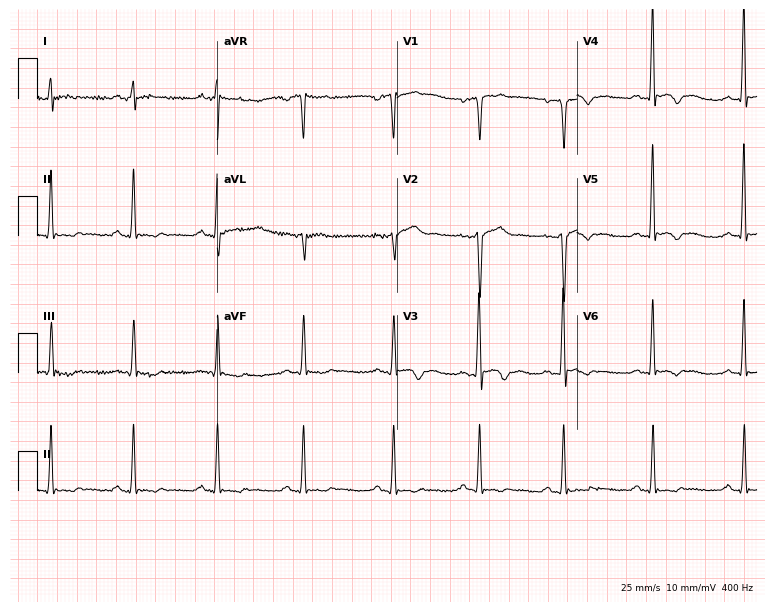
Standard 12-lead ECG recorded from a man, 35 years old. None of these six findings is recorded: first-degree AV block, right bundle branch block, left bundle branch block, sinus bradycardia, atrial fibrillation, sinus tachycardia. Findings outside these six are not listed.